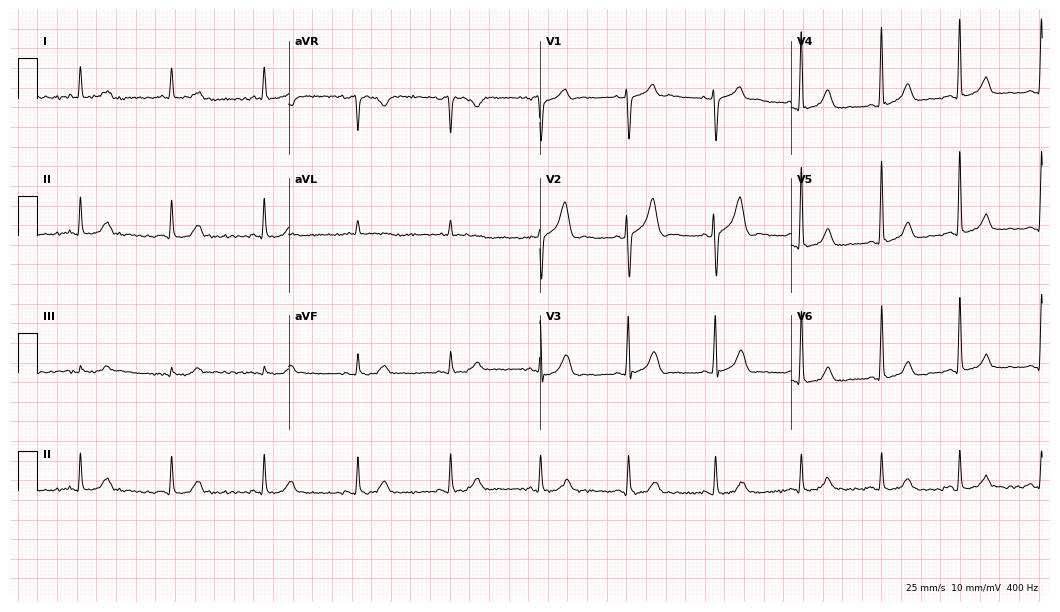
12-lead ECG from a male patient, 51 years old (10.2-second recording at 400 Hz). Recorded interpretation: within normal limits.